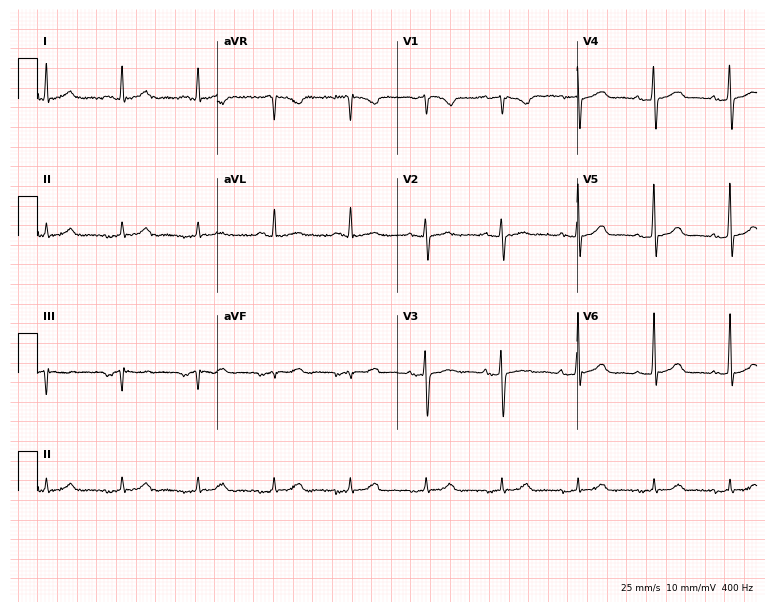
12-lead ECG (7.3-second recording at 400 Hz) from a 66-year-old man. Labelled as a normal ECG.